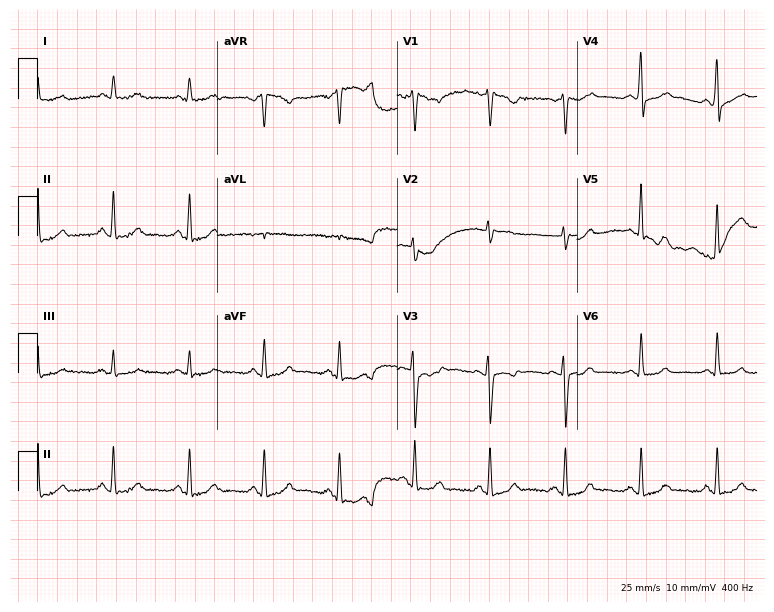
Electrocardiogram (7.3-second recording at 400 Hz), a 34-year-old female patient. Of the six screened findings (first-degree AV block, right bundle branch block, left bundle branch block, sinus bradycardia, atrial fibrillation, sinus tachycardia), none is recorded. Findings outside these six are not listed.